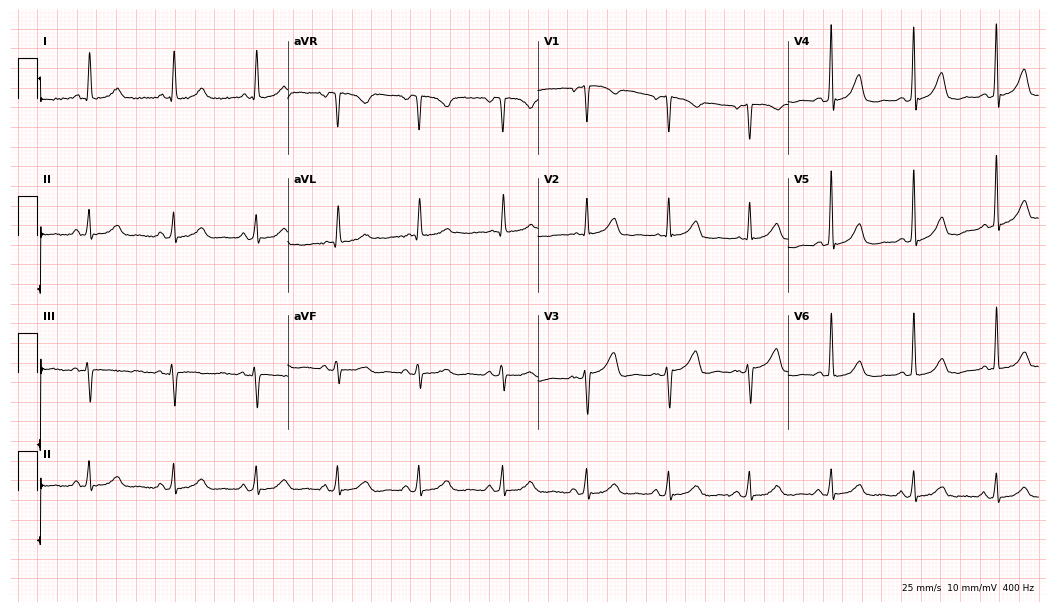
ECG (10.2-second recording at 400 Hz) — a 64-year-old woman. Labelled as a normal ECG.